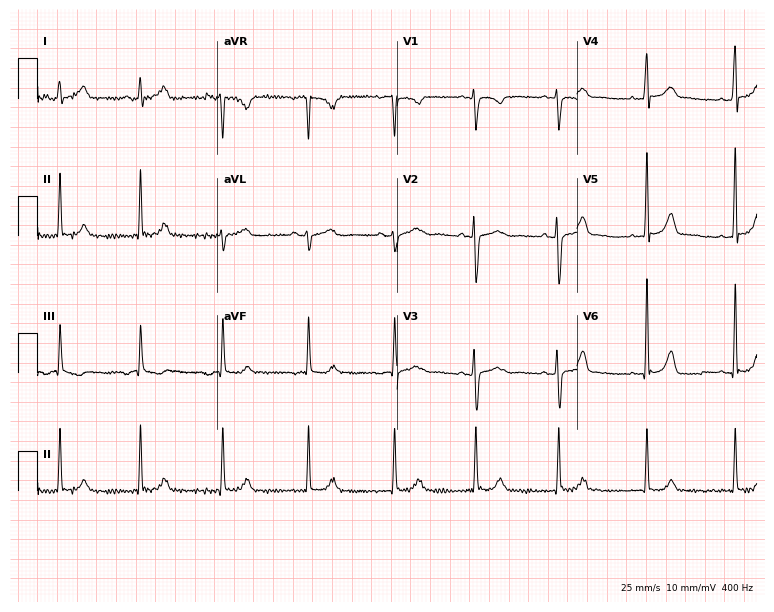
12-lead ECG from a female, 19 years old (7.3-second recording at 400 Hz). Recorded interpretation: within normal limits.